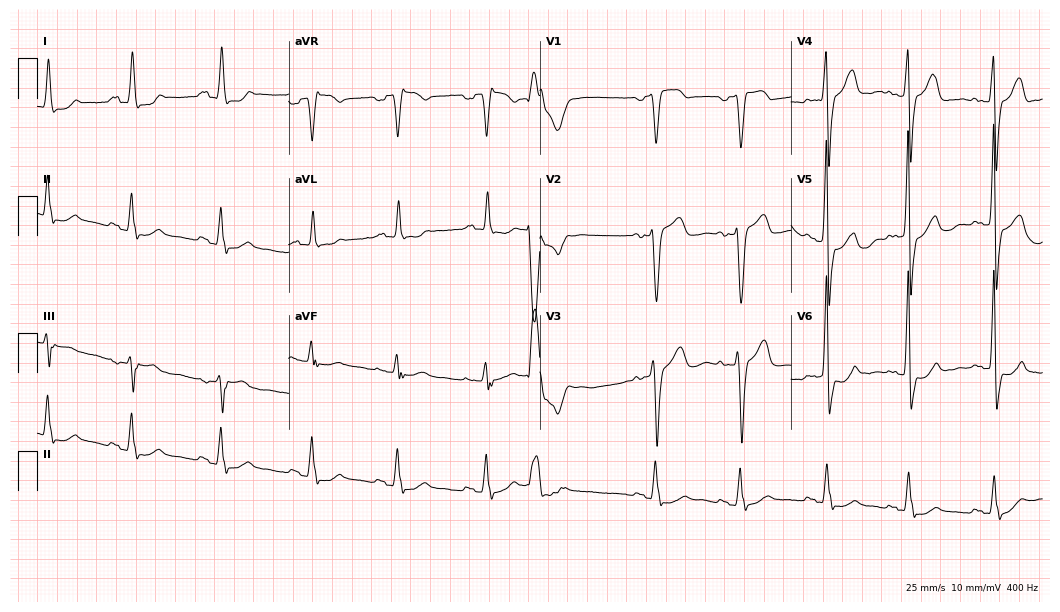
12-lead ECG from a female patient, 55 years old. No first-degree AV block, right bundle branch block (RBBB), left bundle branch block (LBBB), sinus bradycardia, atrial fibrillation (AF) or sinus tachycardia recorded for this tracing.